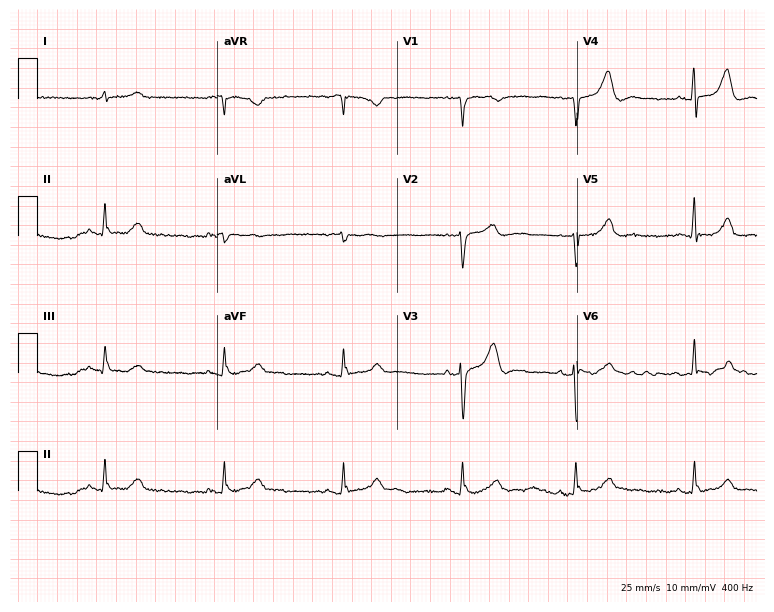
Electrocardiogram (7.3-second recording at 400 Hz), a 37-year-old man. Of the six screened findings (first-degree AV block, right bundle branch block, left bundle branch block, sinus bradycardia, atrial fibrillation, sinus tachycardia), none is recorded. Only these six findings were labelled.